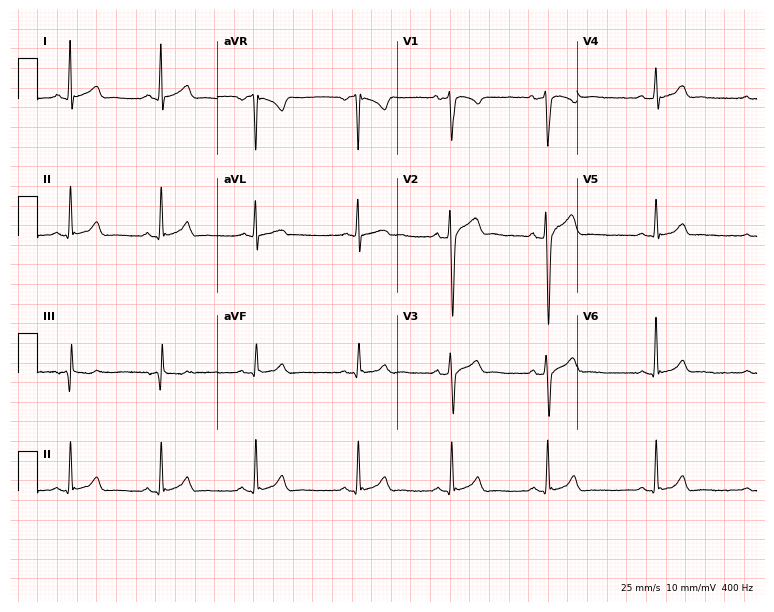
ECG (7.3-second recording at 400 Hz) — a man, 20 years old. Labelled as a normal ECG.